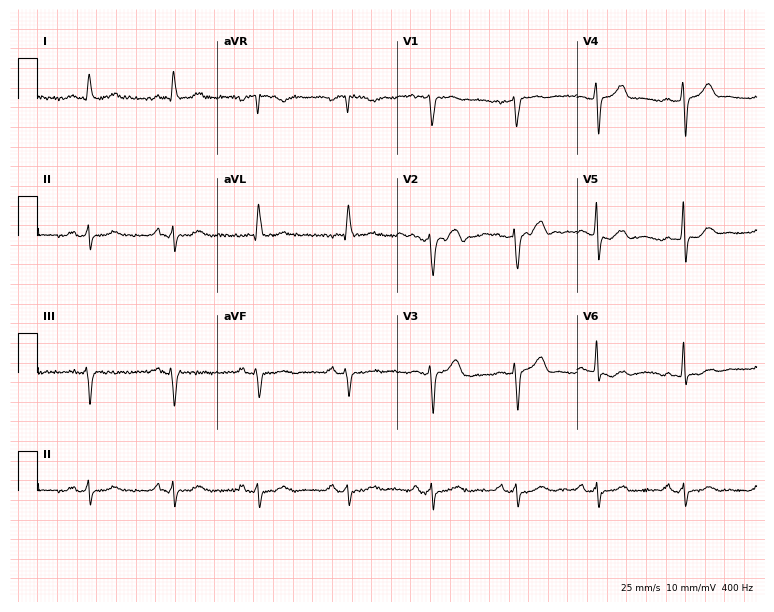
Electrocardiogram, a 70-year-old male. Of the six screened findings (first-degree AV block, right bundle branch block, left bundle branch block, sinus bradycardia, atrial fibrillation, sinus tachycardia), none is recorded.